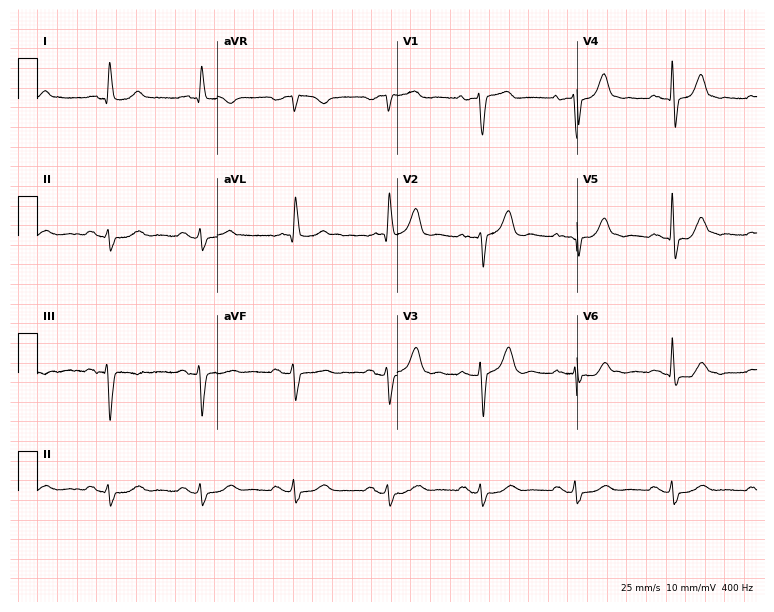
12-lead ECG from a man, 74 years old (7.3-second recording at 400 Hz). No first-degree AV block, right bundle branch block, left bundle branch block, sinus bradycardia, atrial fibrillation or sinus tachycardia recorded for this tracing. Findings outside these six are not listed.